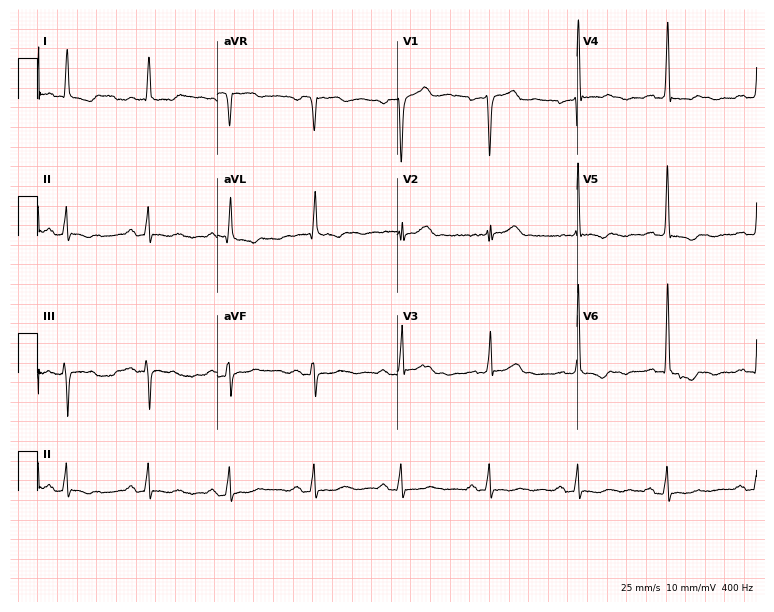
Electrocardiogram (7.3-second recording at 400 Hz), a 66-year-old female. Overall reading on record: normal ECG.